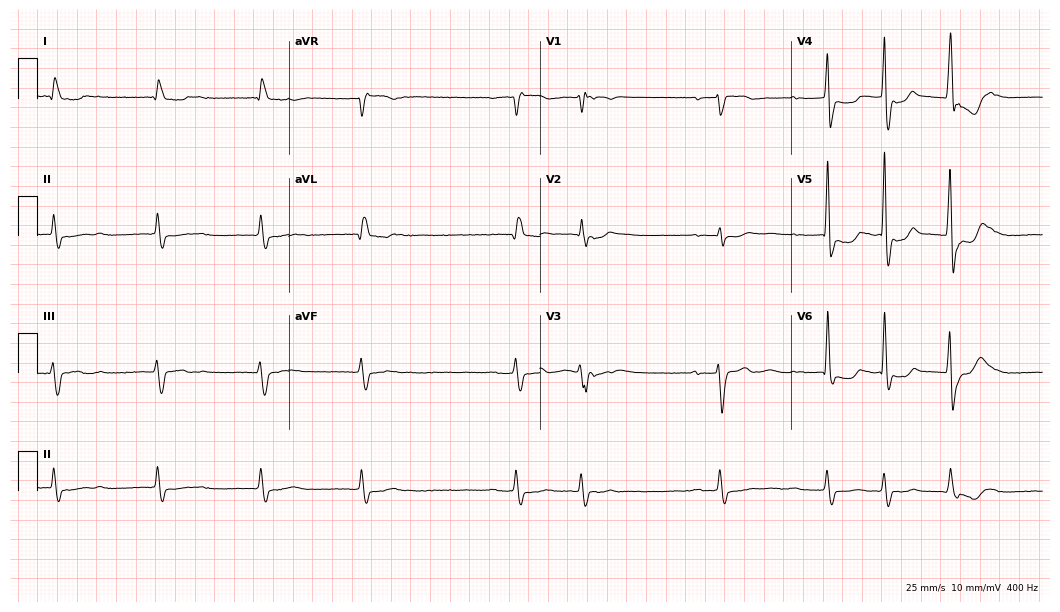
ECG (10.2-second recording at 400 Hz) — a man, 84 years old. Findings include atrial fibrillation.